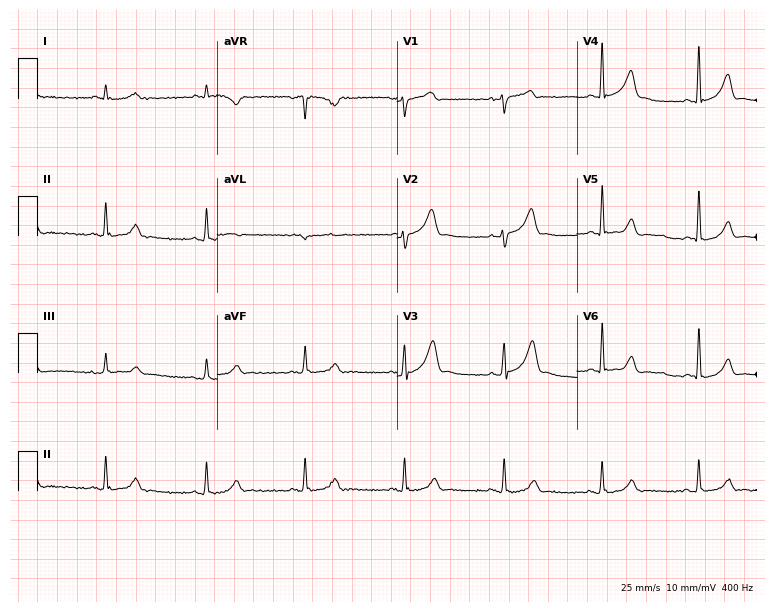
ECG (7.3-second recording at 400 Hz) — a woman, 59 years old. Screened for six findings — first-degree AV block, right bundle branch block (RBBB), left bundle branch block (LBBB), sinus bradycardia, atrial fibrillation (AF), sinus tachycardia — none is recorded. Other findings, if any, are not listed.